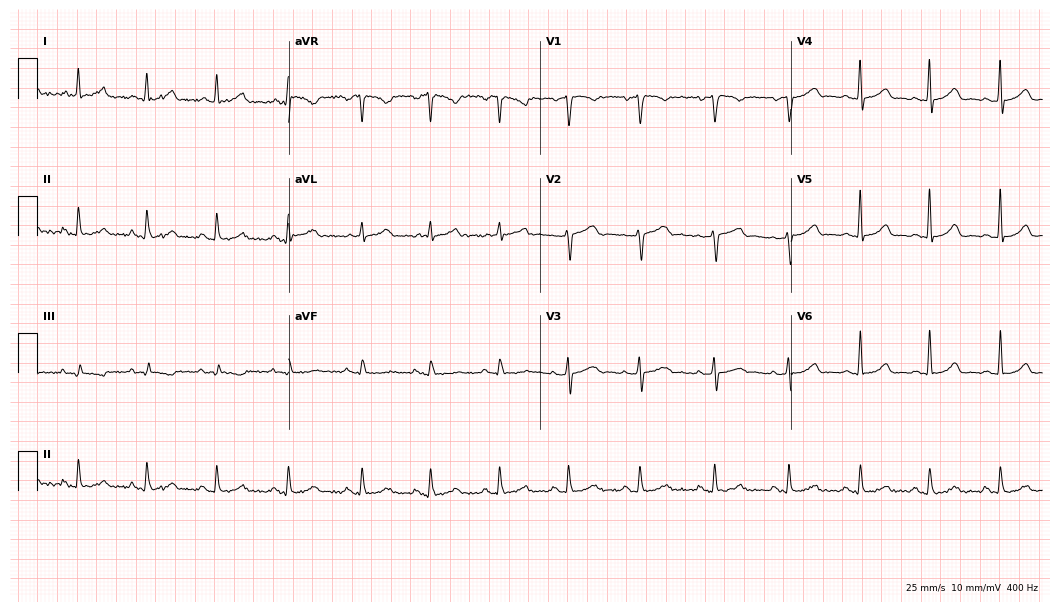
Electrocardiogram (10.2-second recording at 400 Hz), a 46-year-old female patient. Overall reading on record: normal ECG.